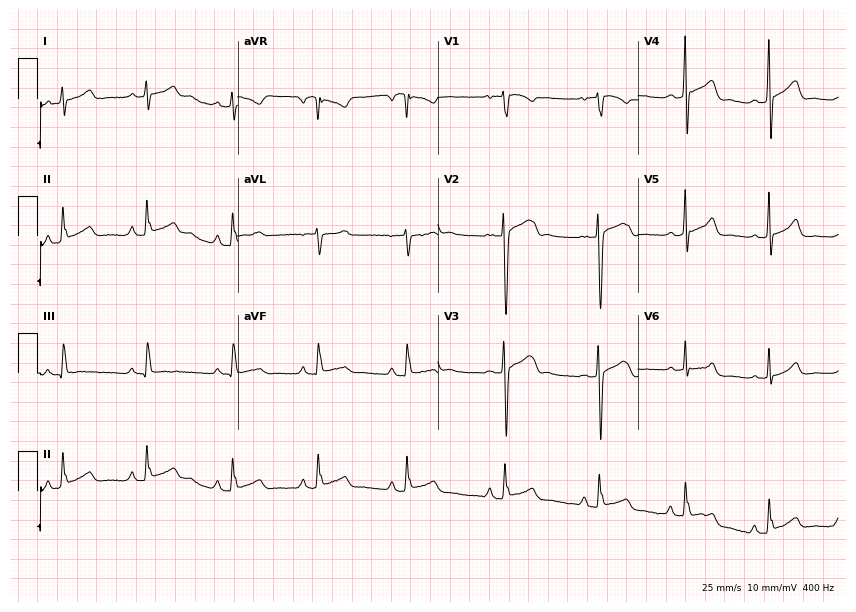
Electrocardiogram (8.2-second recording at 400 Hz), a man, 19 years old. Overall reading on record: normal ECG.